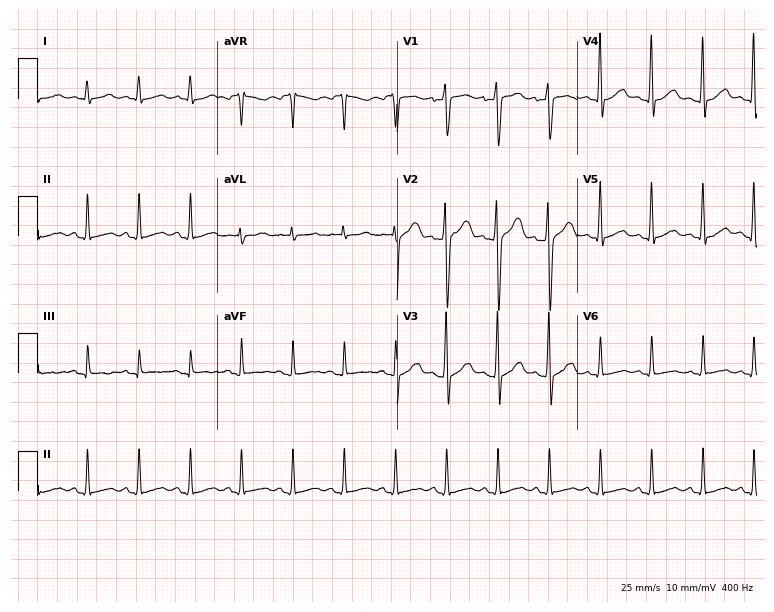
ECG (7.3-second recording at 400 Hz) — a 33-year-old male. Screened for six findings — first-degree AV block, right bundle branch block (RBBB), left bundle branch block (LBBB), sinus bradycardia, atrial fibrillation (AF), sinus tachycardia — none is recorded. Findings outside these six are not listed.